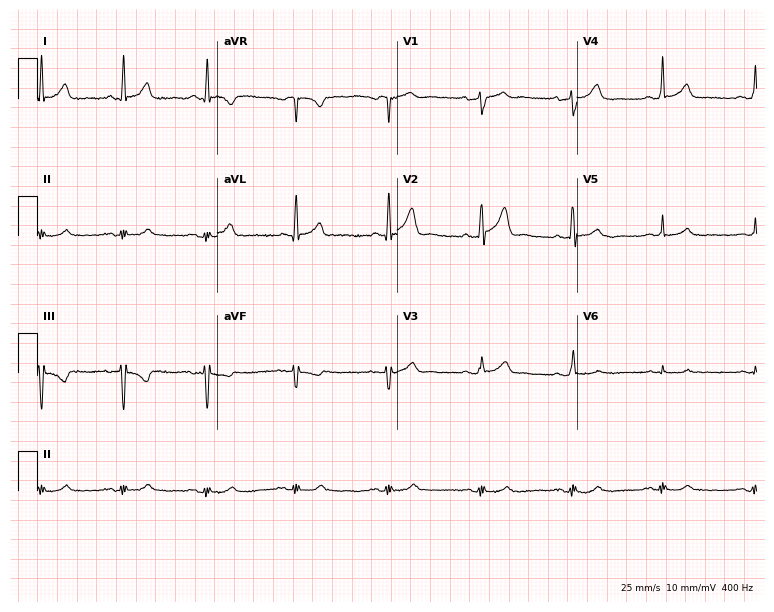
12-lead ECG from a 61-year-old male patient. Recorded interpretation: within normal limits.